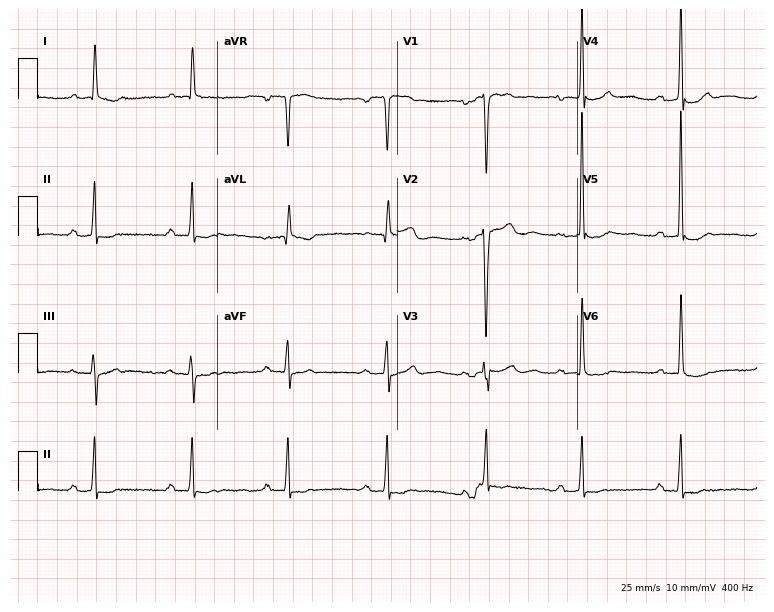
12-lead ECG (7.3-second recording at 400 Hz) from a 68-year-old female patient. Screened for six findings — first-degree AV block, right bundle branch block, left bundle branch block, sinus bradycardia, atrial fibrillation, sinus tachycardia — none is recorded. Other findings, if any, are not listed.